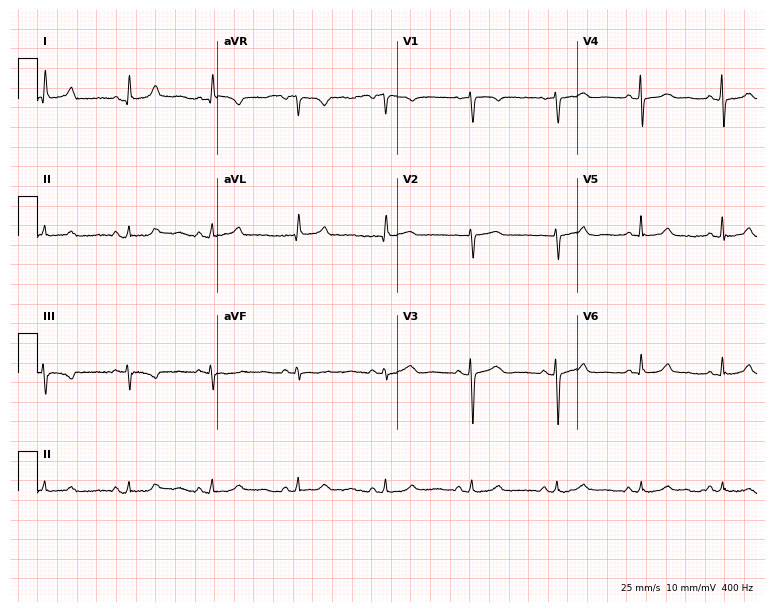
Standard 12-lead ECG recorded from a woman, 74 years old (7.3-second recording at 400 Hz). Read as a normal ECG.